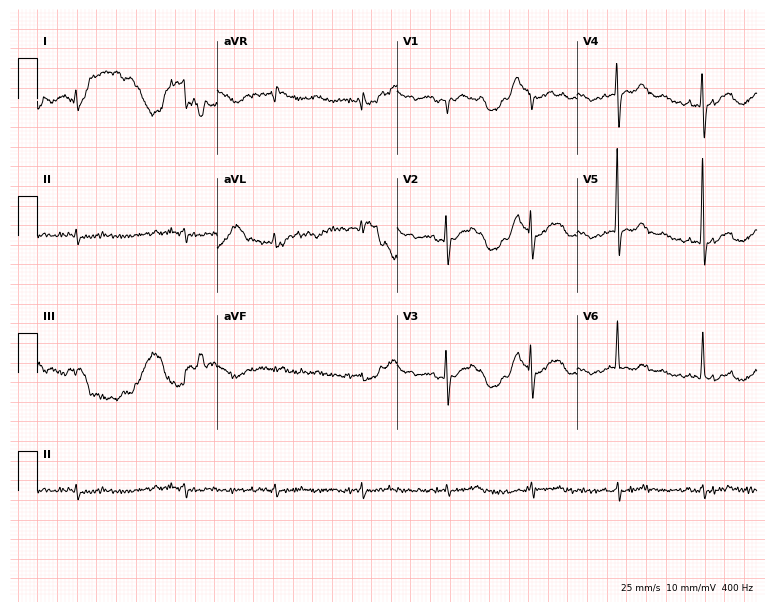
Electrocardiogram (7.3-second recording at 400 Hz), an 81-year-old female. Of the six screened findings (first-degree AV block, right bundle branch block, left bundle branch block, sinus bradycardia, atrial fibrillation, sinus tachycardia), none is recorded. Findings outside these six are not listed.